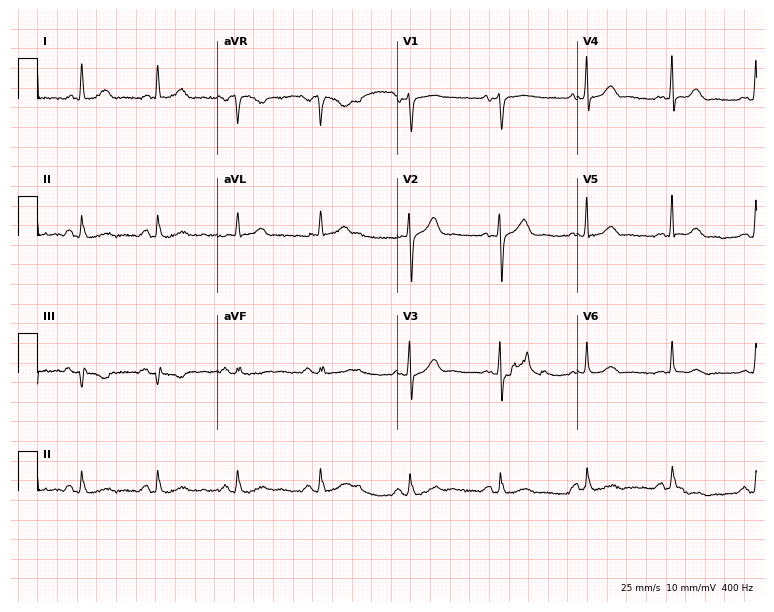
12-lead ECG from a 59-year-old man (7.3-second recording at 400 Hz). Recorded interpretation: within normal limits.